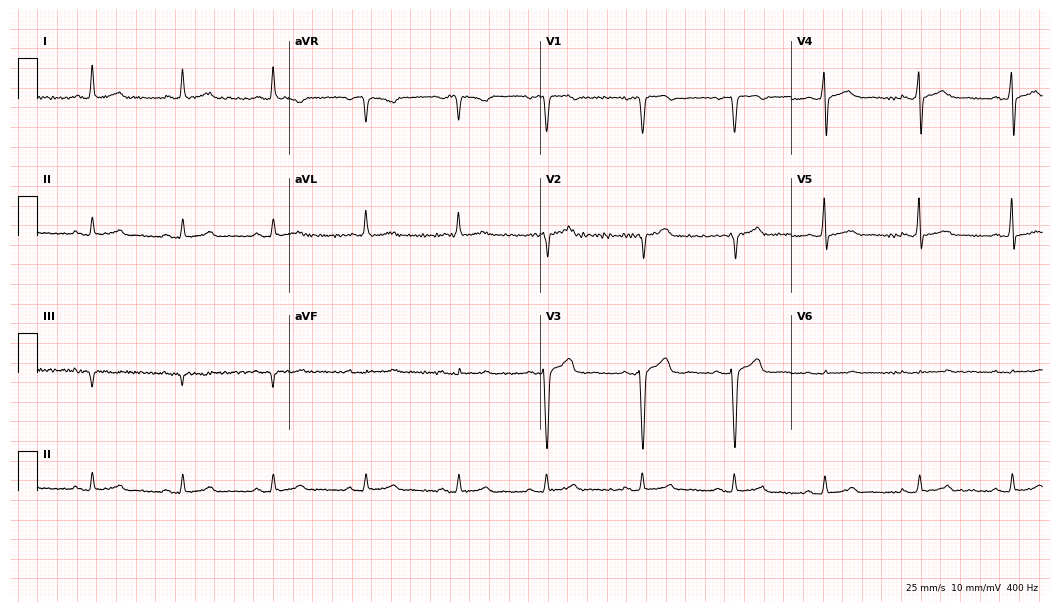
Standard 12-lead ECG recorded from a male patient, 50 years old (10.2-second recording at 400 Hz). Read as a normal ECG.